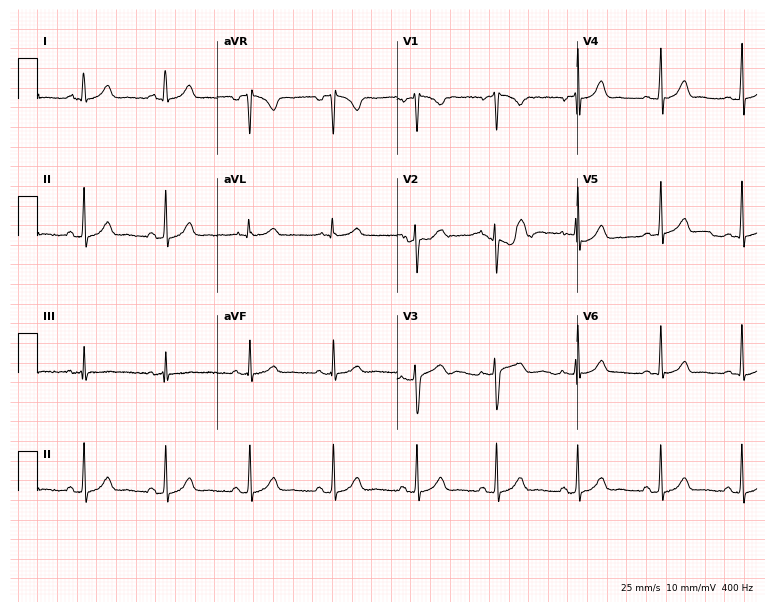
Standard 12-lead ECG recorded from a female patient, 23 years old (7.3-second recording at 400 Hz). Read as a normal ECG.